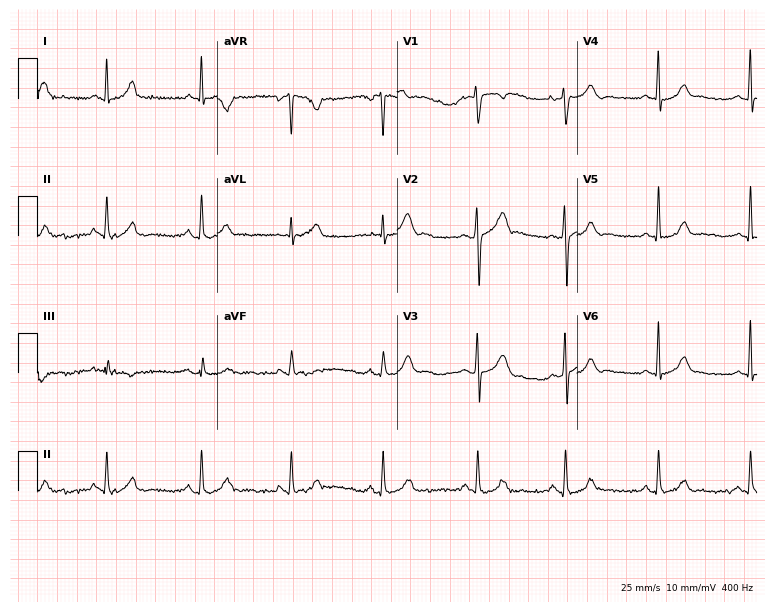
Standard 12-lead ECG recorded from a male, 27 years old (7.3-second recording at 400 Hz). Read as a normal ECG.